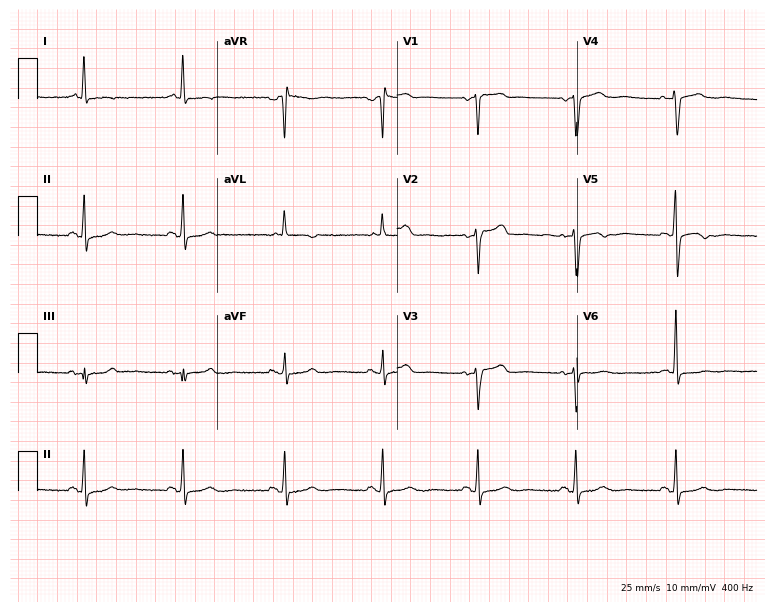
12-lead ECG from a 62-year-old woman. Screened for six findings — first-degree AV block, right bundle branch block, left bundle branch block, sinus bradycardia, atrial fibrillation, sinus tachycardia — none is recorded. Only these six findings were labelled.